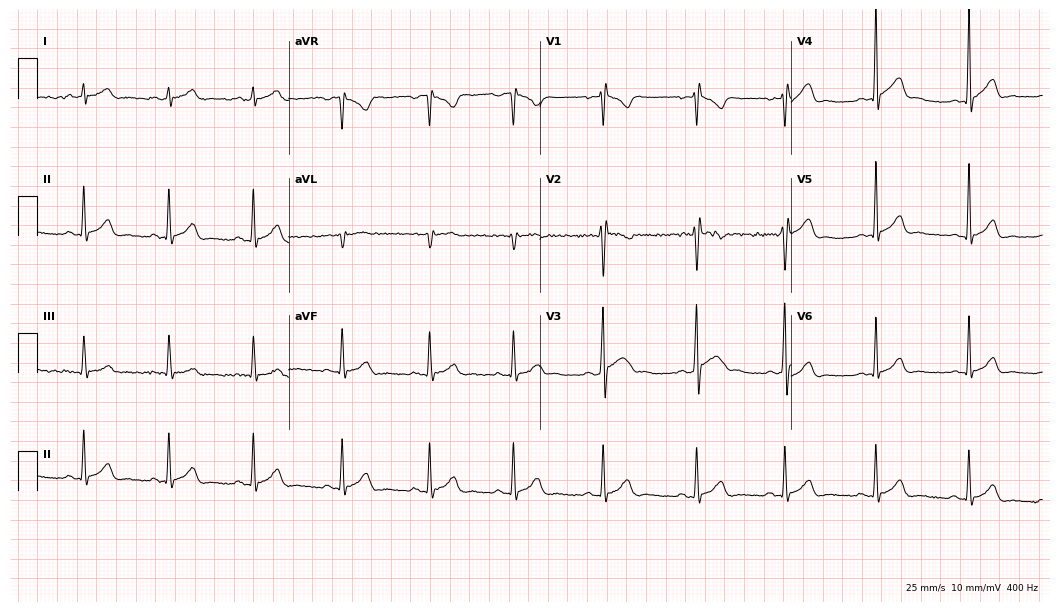
Electrocardiogram (10.2-second recording at 400 Hz), a male patient, 18 years old. Overall reading on record: normal ECG.